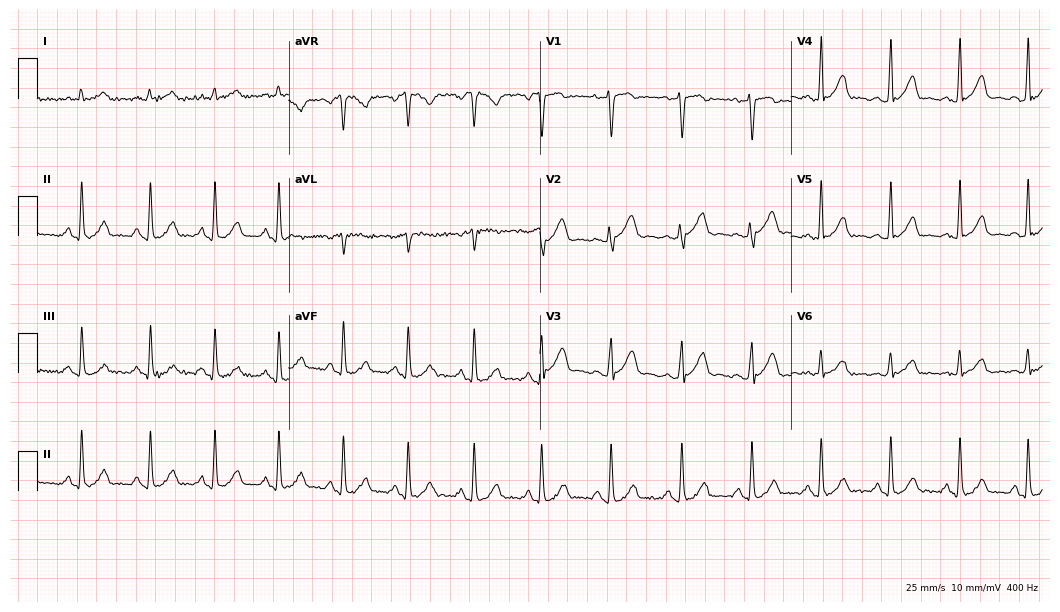
Standard 12-lead ECG recorded from a 50-year-old man. Read as a normal ECG.